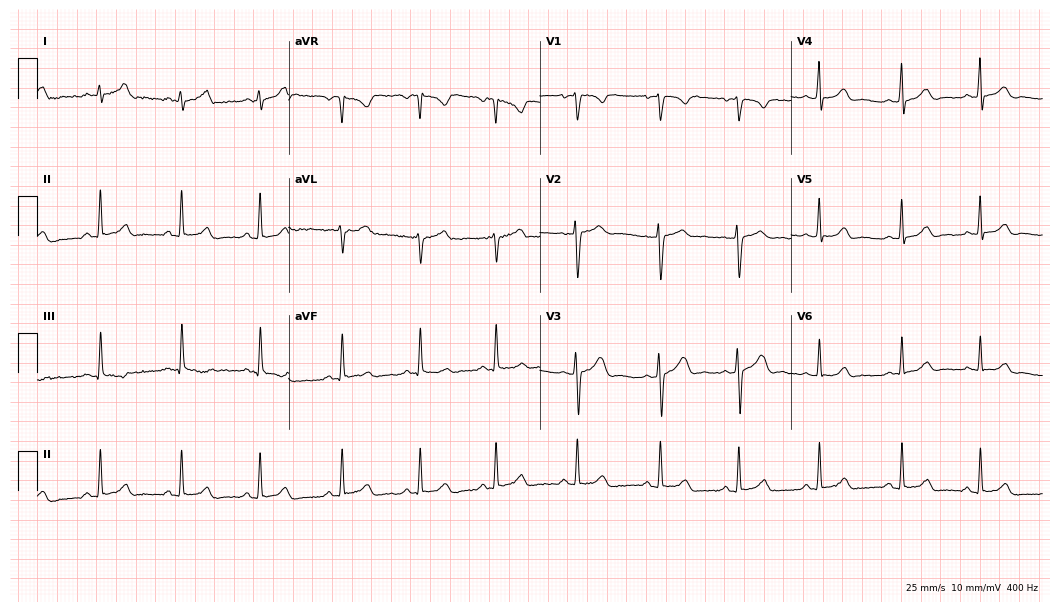
Standard 12-lead ECG recorded from a female patient, 20 years old. None of these six findings is recorded: first-degree AV block, right bundle branch block, left bundle branch block, sinus bradycardia, atrial fibrillation, sinus tachycardia.